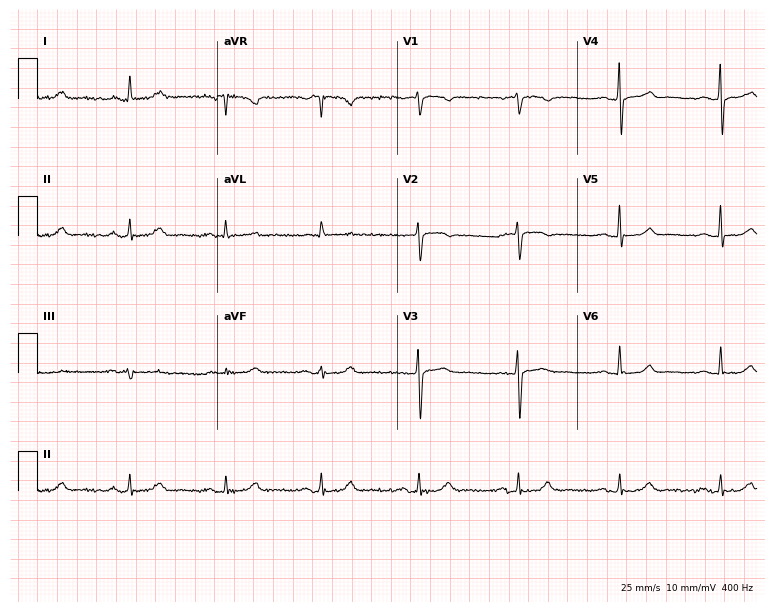
12-lead ECG from a female, 47 years old (7.3-second recording at 400 Hz). No first-degree AV block, right bundle branch block, left bundle branch block, sinus bradycardia, atrial fibrillation or sinus tachycardia recorded for this tracing.